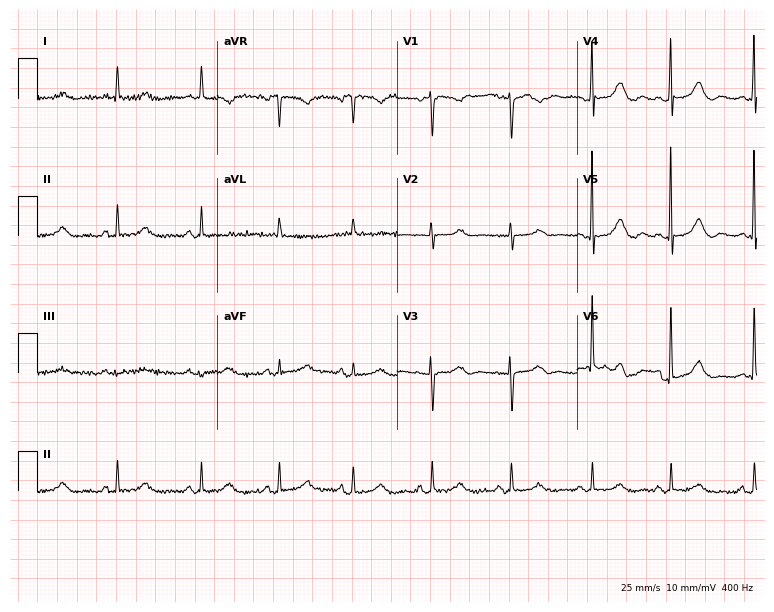
Resting 12-lead electrocardiogram (7.3-second recording at 400 Hz). Patient: a 72-year-old female. None of these six findings is recorded: first-degree AV block, right bundle branch block, left bundle branch block, sinus bradycardia, atrial fibrillation, sinus tachycardia.